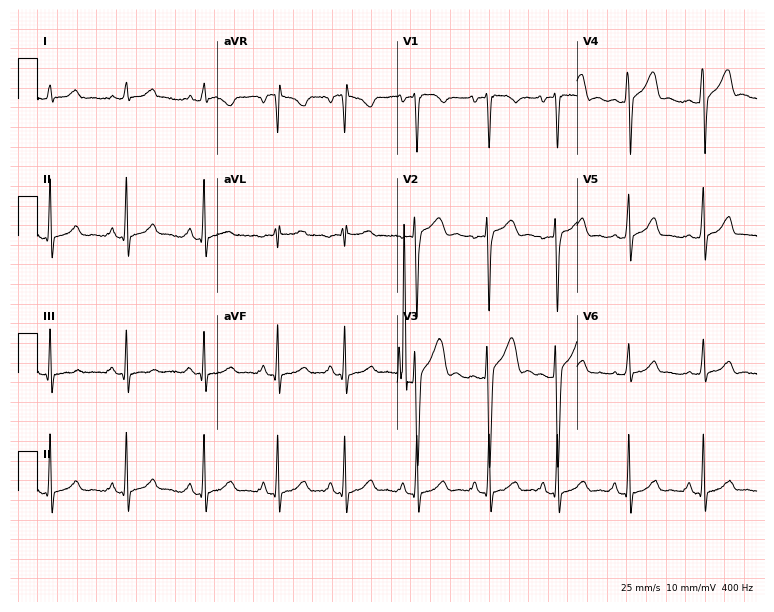
Electrocardiogram, a 25-year-old male. Of the six screened findings (first-degree AV block, right bundle branch block, left bundle branch block, sinus bradycardia, atrial fibrillation, sinus tachycardia), none is recorded.